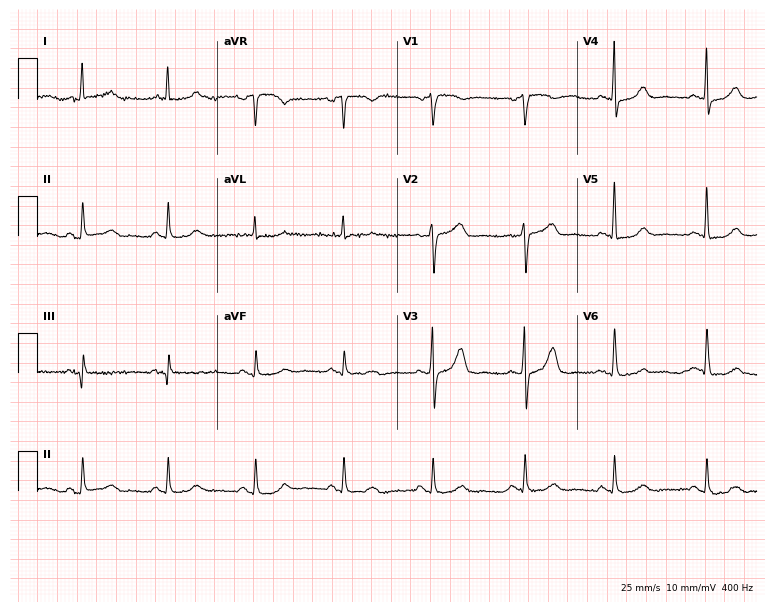
12-lead ECG (7.3-second recording at 400 Hz) from a woman, 65 years old. Labelled as a normal ECG.